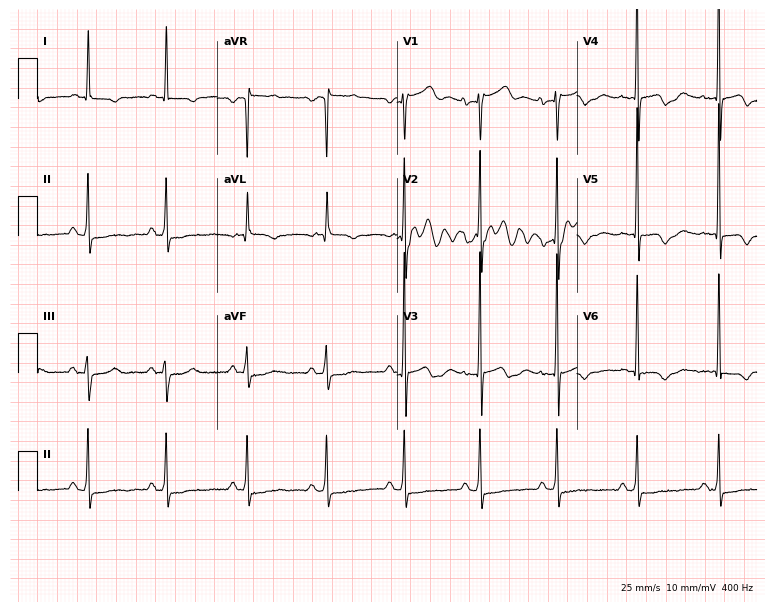
Standard 12-lead ECG recorded from a 59-year-old male. None of these six findings is recorded: first-degree AV block, right bundle branch block, left bundle branch block, sinus bradycardia, atrial fibrillation, sinus tachycardia.